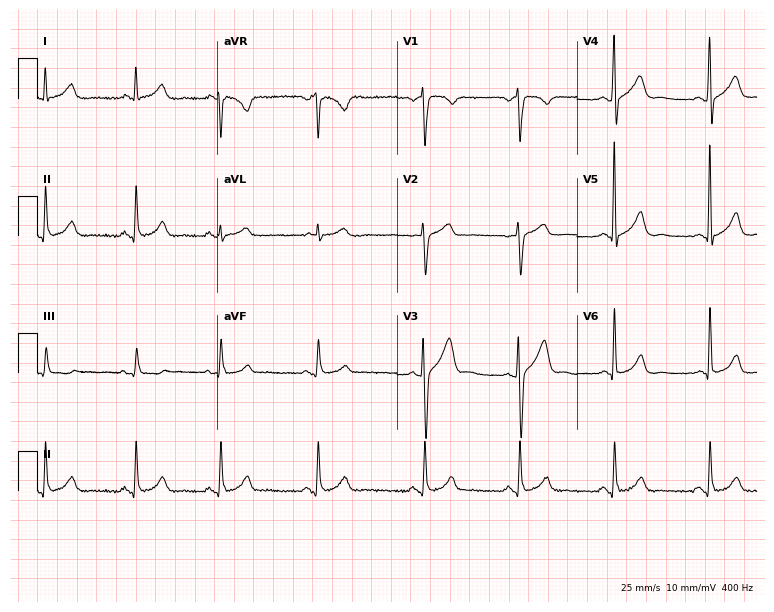
Resting 12-lead electrocardiogram. Patient: a male, 46 years old. Read as a normal ECG.